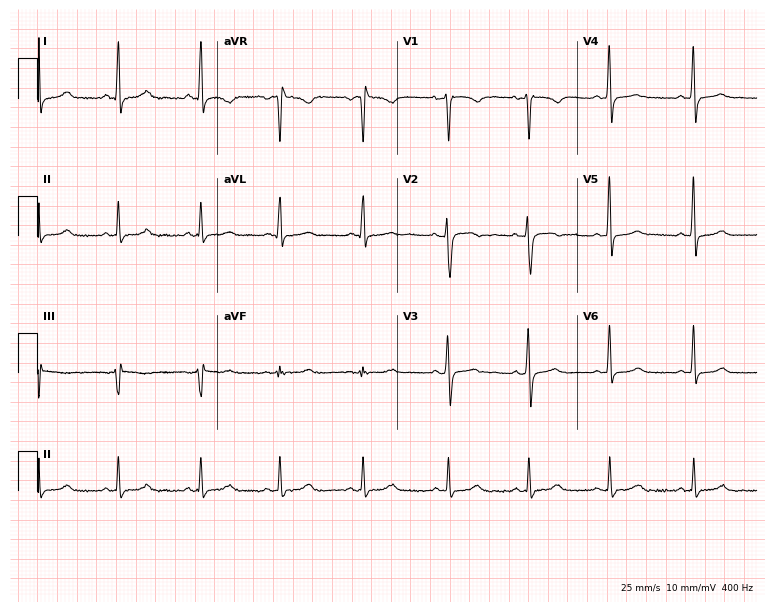
ECG — a 23-year-old woman. Screened for six findings — first-degree AV block, right bundle branch block, left bundle branch block, sinus bradycardia, atrial fibrillation, sinus tachycardia — none is recorded.